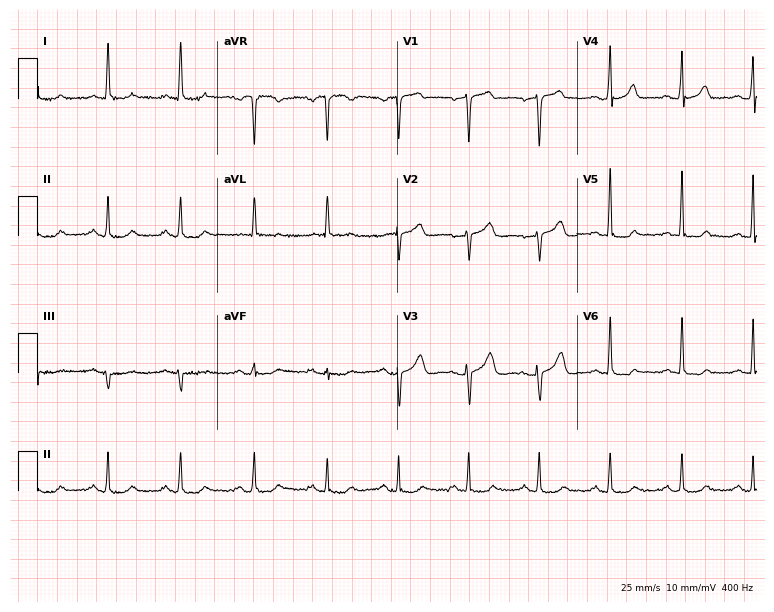
12-lead ECG from a 68-year-old female. Labelled as a normal ECG.